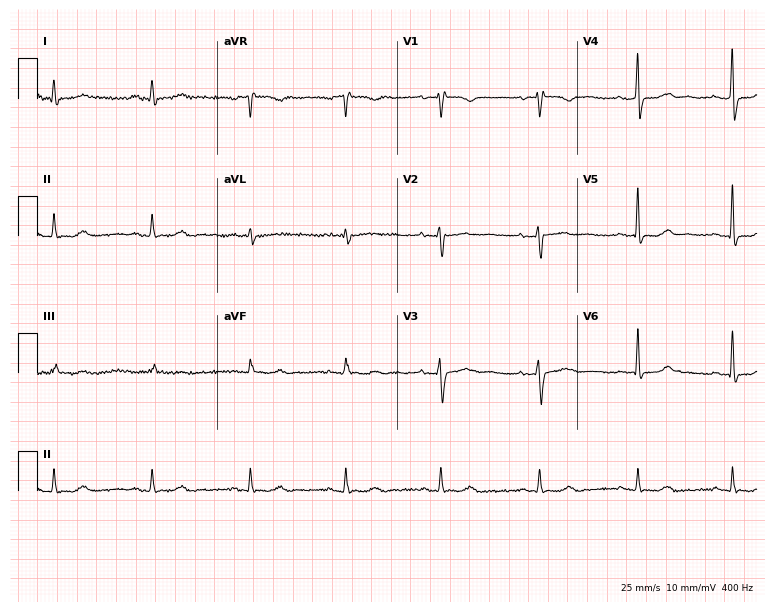
12-lead ECG (7.3-second recording at 400 Hz) from a female, 54 years old. Labelled as a normal ECG.